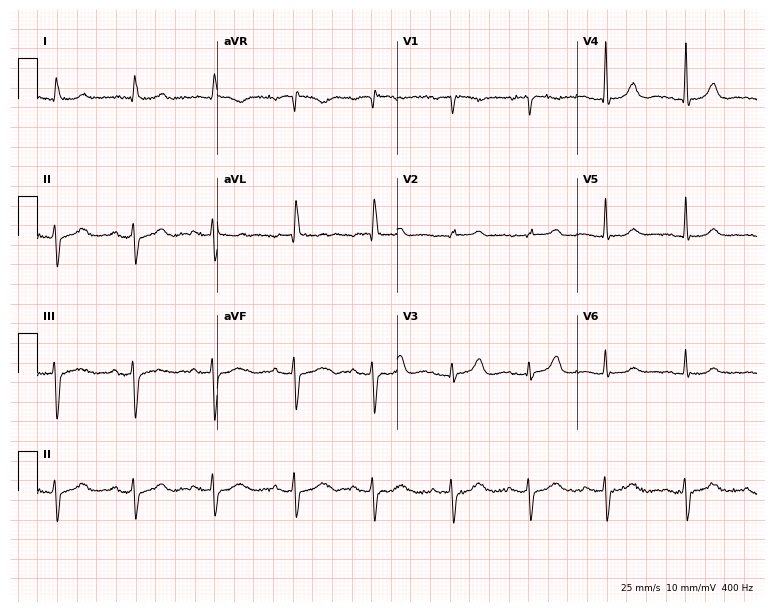
12-lead ECG from an 81-year-old woman. No first-degree AV block, right bundle branch block, left bundle branch block, sinus bradycardia, atrial fibrillation or sinus tachycardia recorded for this tracing.